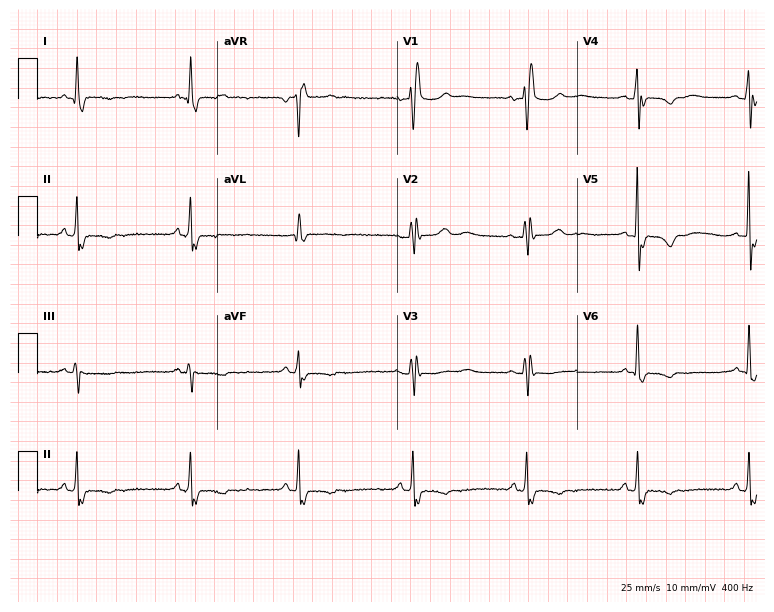
Resting 12-lead electrocardiogram. Patient: a woman, 58 years old. The tracing shows right bundle branch block.